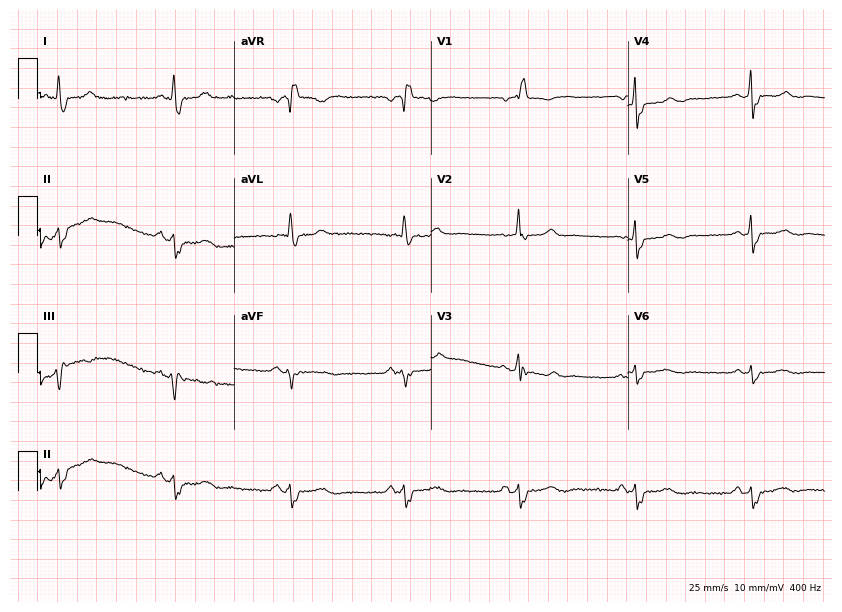
Electrocardiogram (8-second recording at 400 Hz), a male patient, 27 years old. Of the six screened findings (first-degree AV block, right bundle branch block (RBBB), left bundle branch block (LBBB), sinus bradycardia, atrial fibrillation (AF), sinus tachycardia), none is recorded.